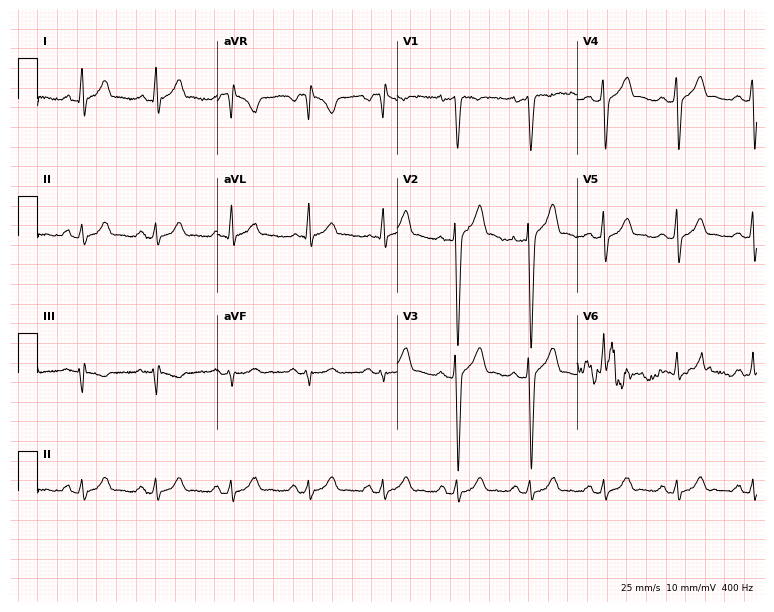
Standard 12-lead ECG recorded from a 33-year-old male. Read as a normal ECG.